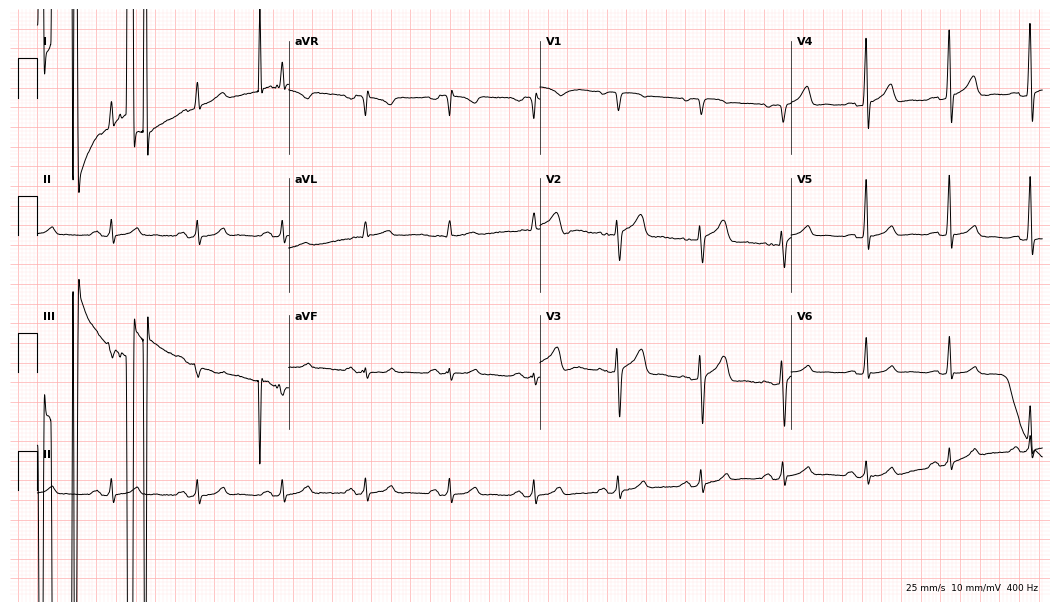
Standard 12-lead ECG recorded from a male patient, 58 years old. None of these six findings is recorded: first-degree AV block, right bundle branch block (RBBB), left bundle branch block (LBBB), sinus bradycardia, atrial fibrillation (AF), sinus tachycardia. Findings outside these six are not listed.